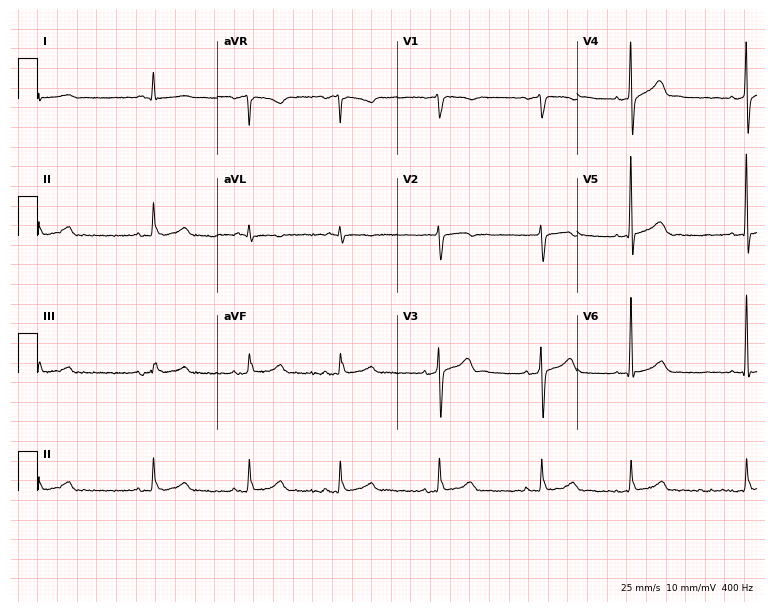
12-lead ECG from a 69-year-old male. Labelled as a normal ECG.